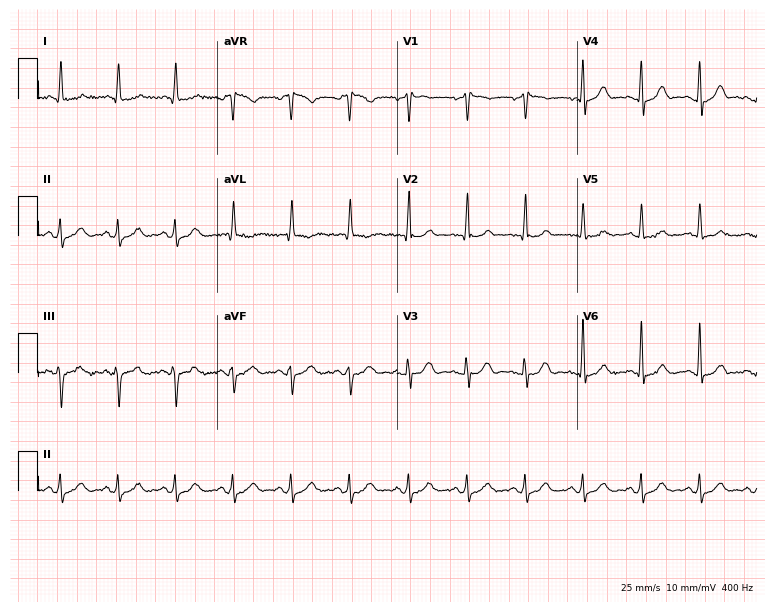
12-lead ECG from a female, 71 years old (7.3-second recording at 400 Hz). Shows sinus tachycardia (a sinus rate of 100 beats per minute or more).